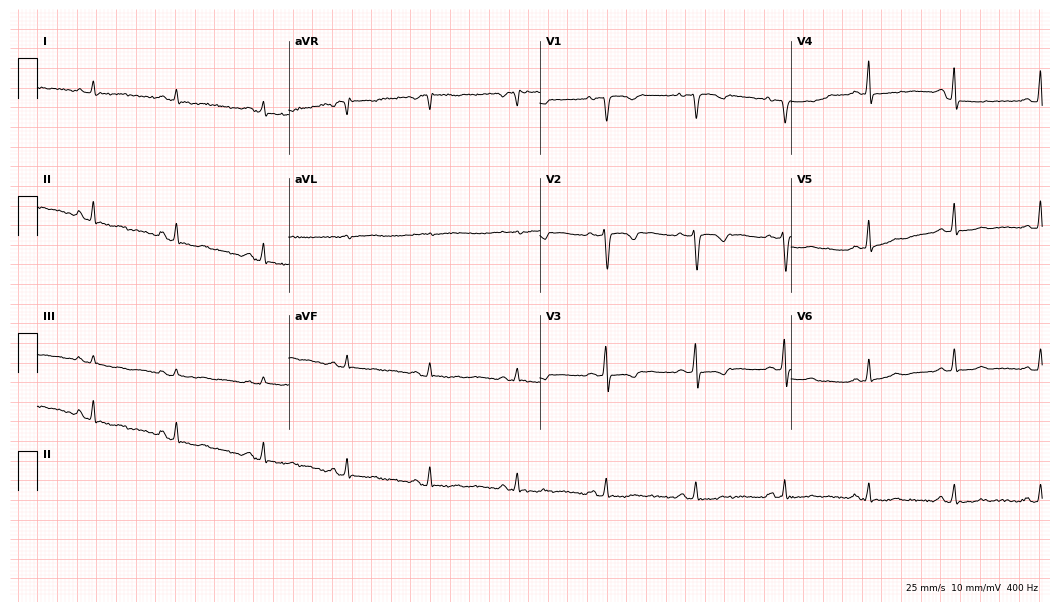
12-lead ECG from a female, 33 years old (10.2-second recording at 400 Hz). No first-degree AV block, right bundle branch block (RBBB), left bundle branch block (LBBB), sinus bradycardia, atrial fibrillation (AF) or sinus tachycardia recorded for this tracing.